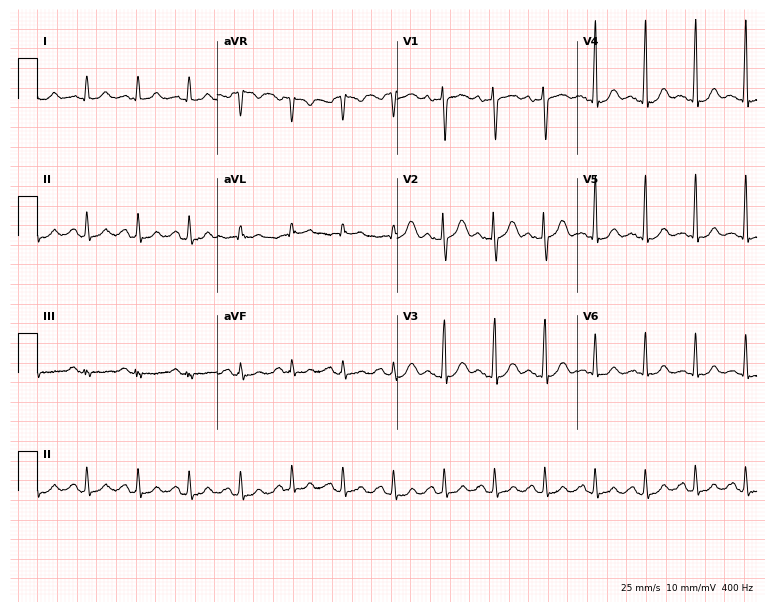
Standard 12-lead ECG recorded from a man, 41 years old. The tracing shows sinus tachycardia (a sinus rate of 100 beats per minute or more).